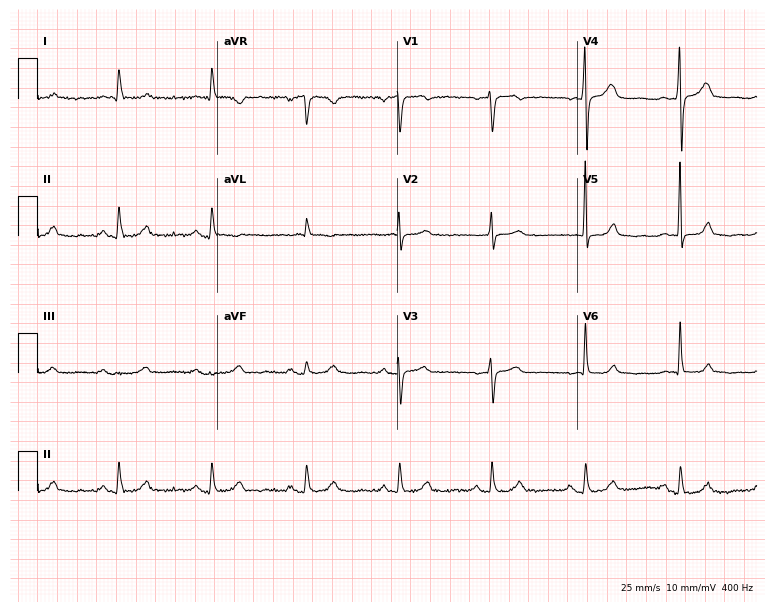
Standard 12-lead ECG recorded from a 67-year-old male patient (7.3-second recording at 400 Hz). Read as a normal ECG.